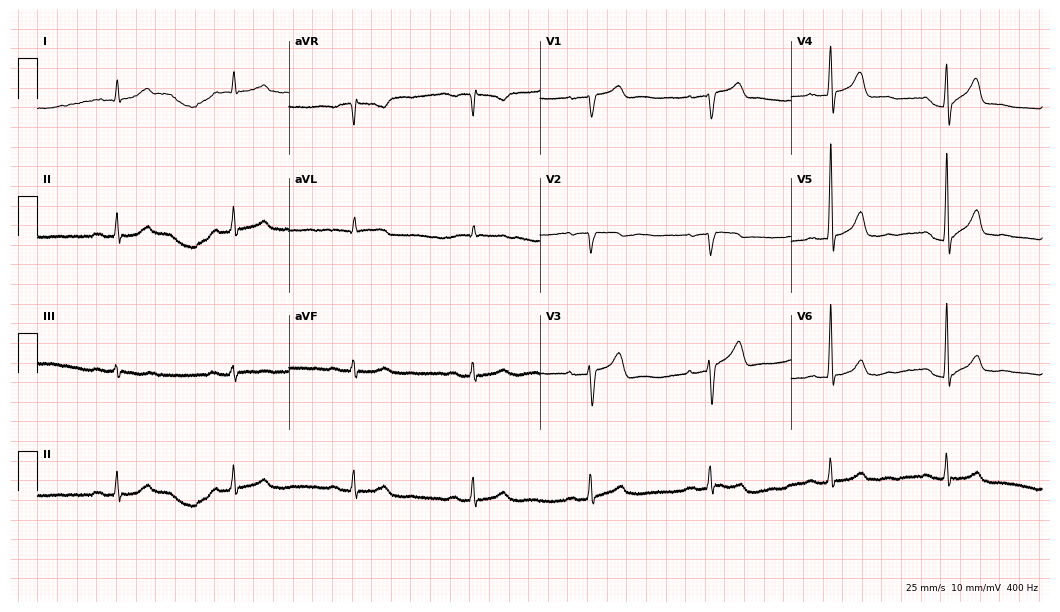
12-lead ECG from a 78-year-old man. Shows first-degree AV block, sinus bradycardia (a sinus rate of 50 beats per minute or less).